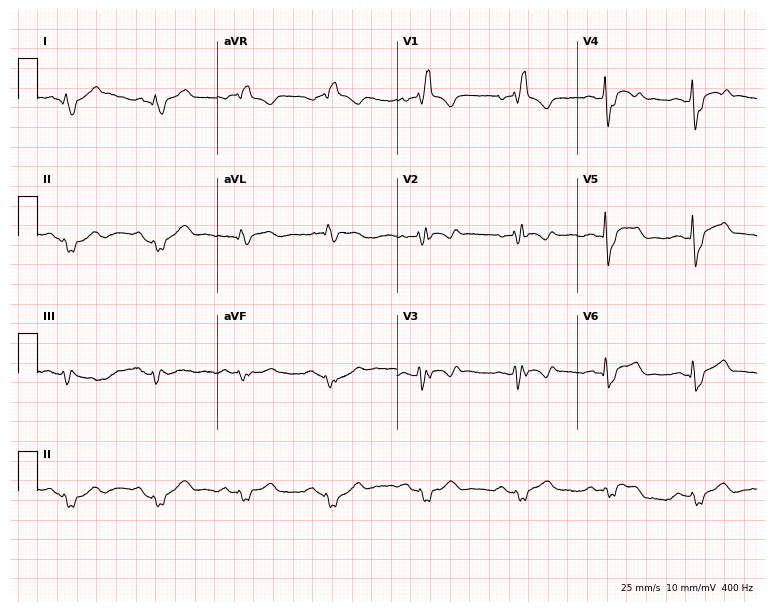
Standard 12-lead ECG recorded from a 56-year-old male. The tracing shows right bundle branch block.